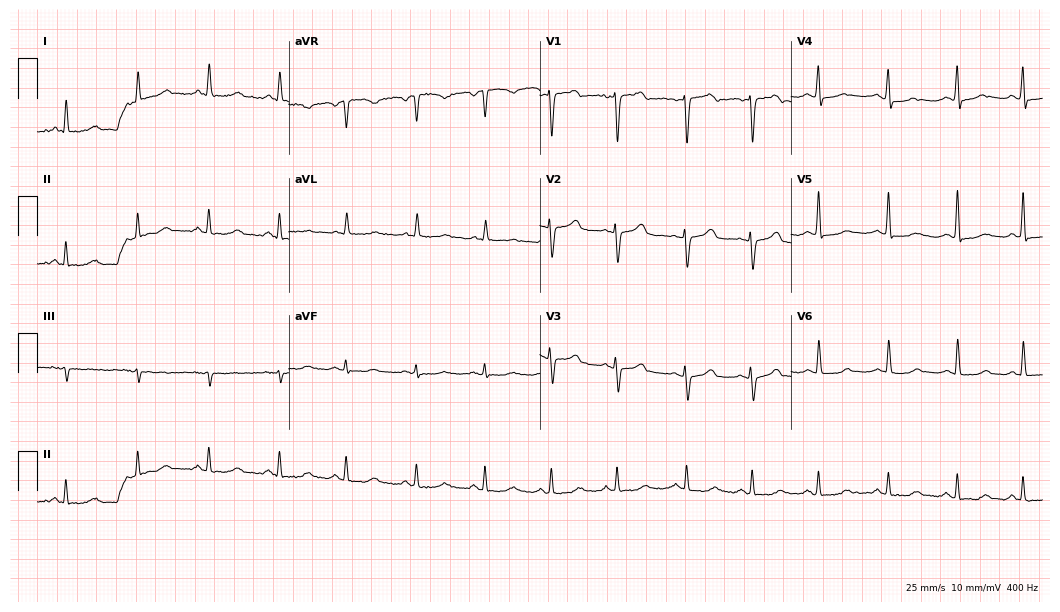
Standard 12-lead ECG recorded from a woman, 76 years old (10.2-second recording at 400 Hz). None of these six findings is recorded: first-degree AV block, right bundle branch block, left bundle branch block, sinus bradycardia, atrial fibrillation, sinus tachycardia.